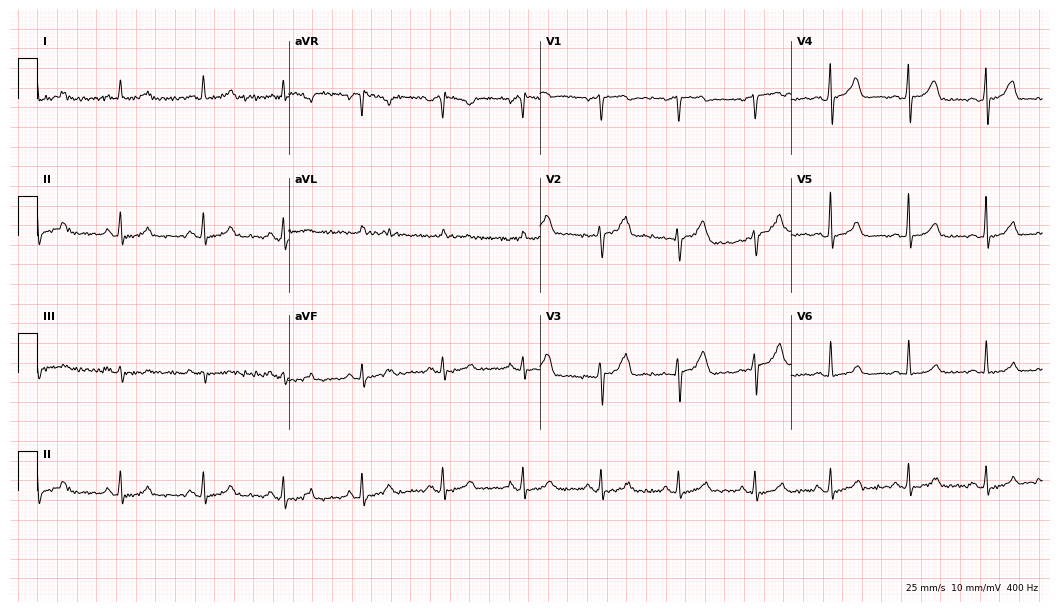
12-lead ECG from a 51-year-old female. Screened for six findings — first-degree AV block, right bundle branch block, left bundle branch block, sinus bradycardia, atrial fibrillation, sinus tachycardia — none is recorded.